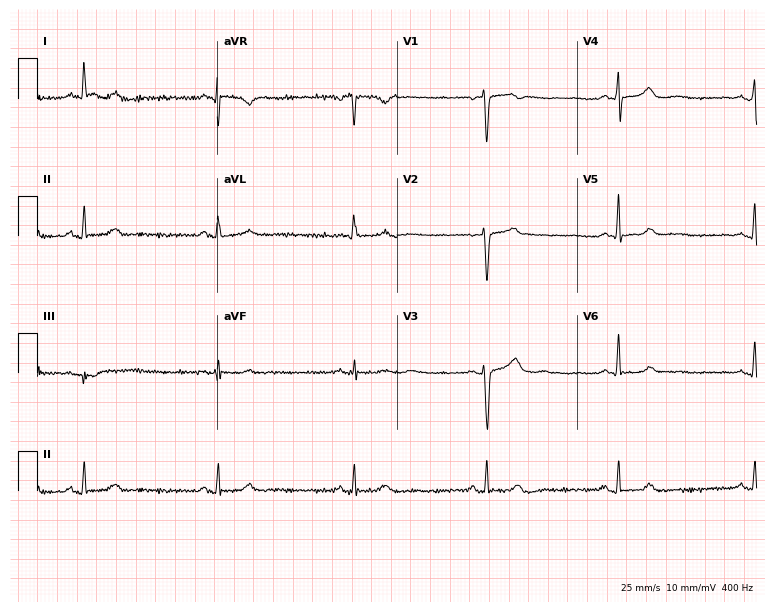
Electrocardiogram (7.3-second recording at 400 Hz), a 54-year-old female patient. Interpretation includes sinus bradycardia (a sinus rate of 50 beats per minute or less).